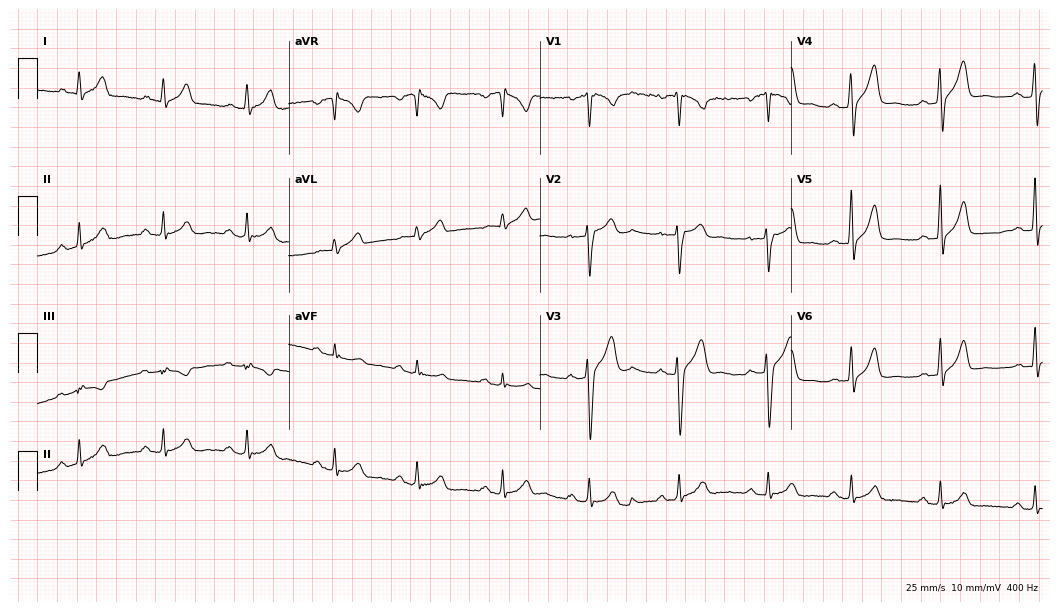
Electrocardiogram (10.2-second recording at 400 Hz), a male, 26 years old. Overall reading on record: normal ECG.